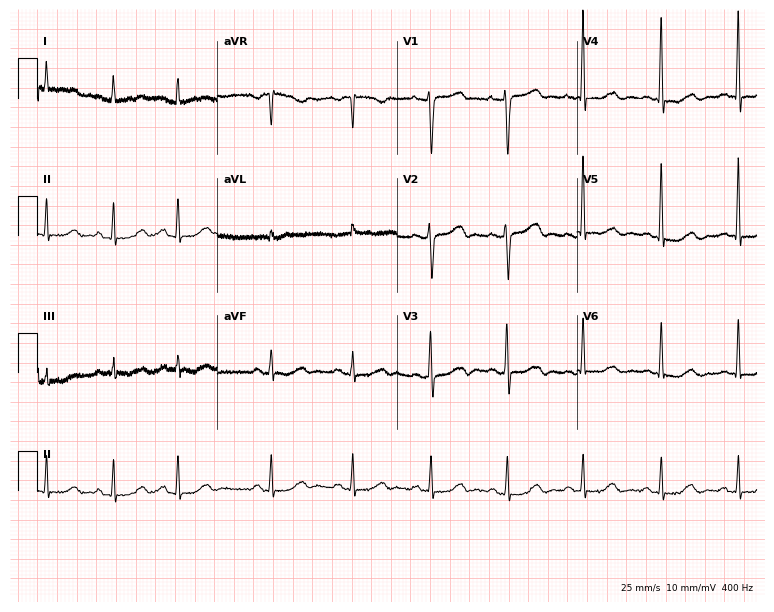
Standard 12-lead ECG recorded from a woman, 71 years old (7.3-second recording at 400 Hz). None of these six findings is recorded: first-degree AV block, right bundle branch block, left bundle branch block, sinus bradycardia, atrial fibrillation, sinus tachycardia.